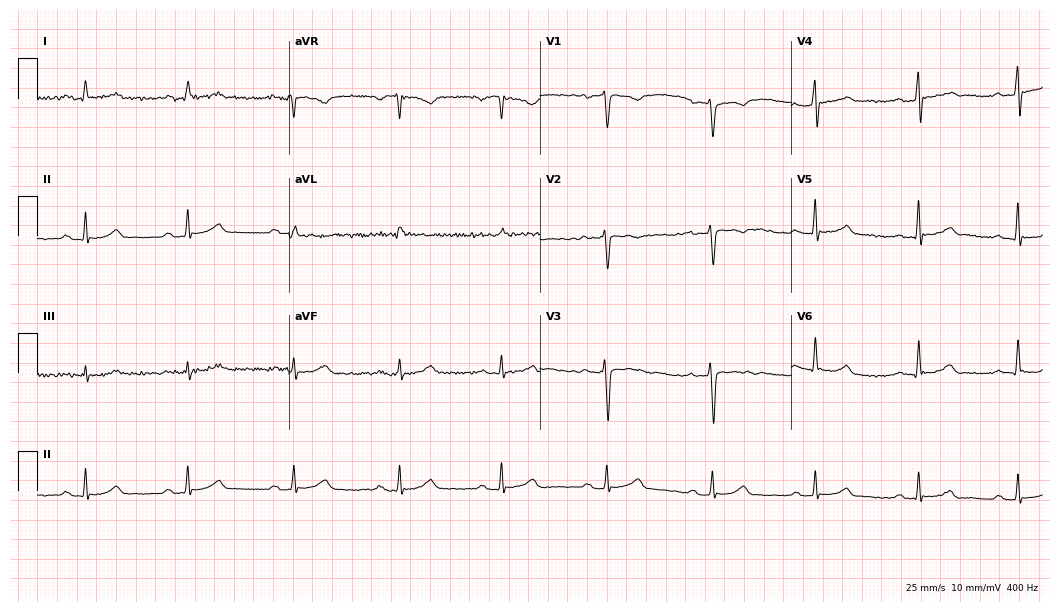
Resting 12-lead electrocardiogram. Patient: a 48-year-old female. Read as a normal ECG.